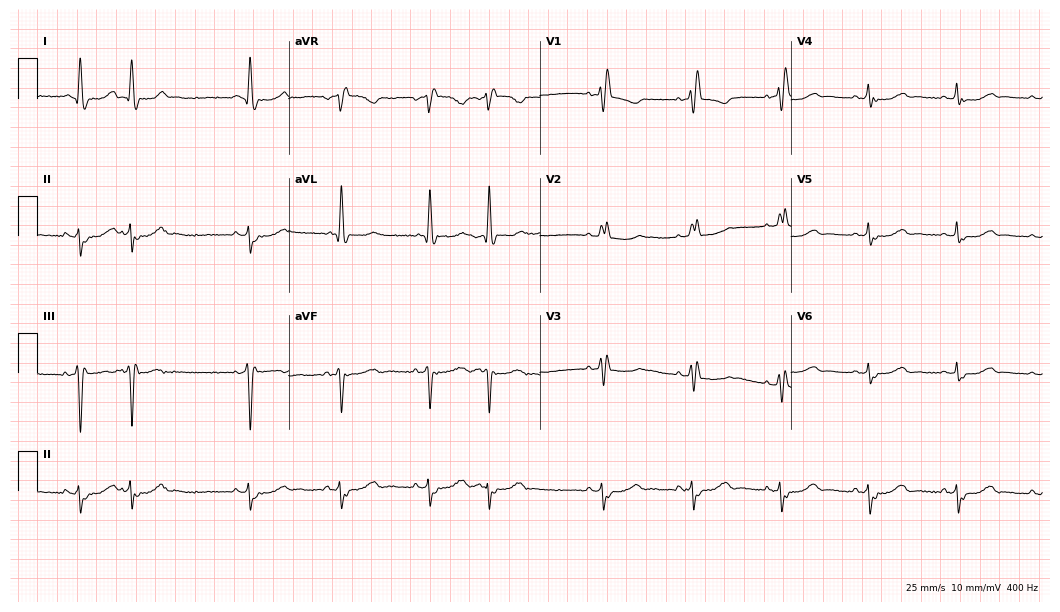
Standard 12-lead ECG recorded from a female, 66 years old (10.2-second recording at 400 Hz). The tracing shows right bundle branch block.